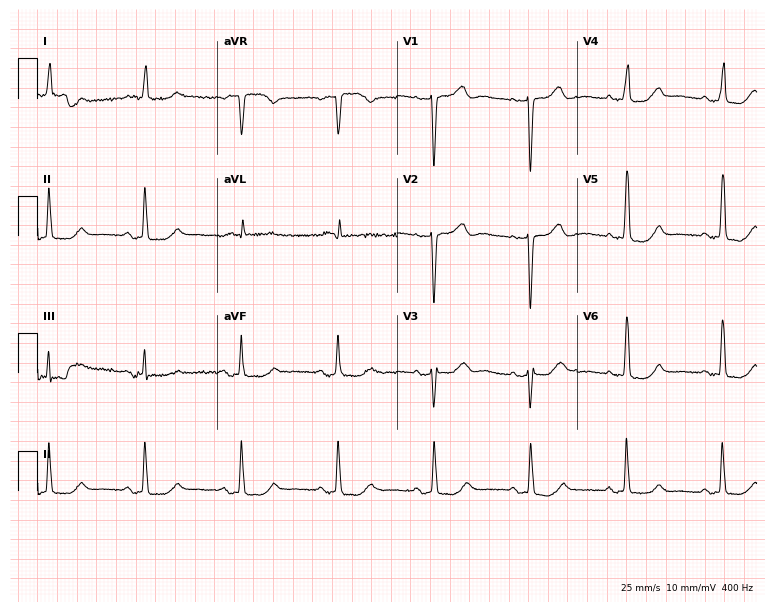
Electrocardiogram (7.3-second recording at 400 Hz), an 81-year-old female patient. Of the six screened findings (first-degree AV block, right bundle branch block, left bundle branch block, sinus bradycardia, atrial fibrillation, sinus tachycardia), none is recorded. Findings outside these six are not listed.